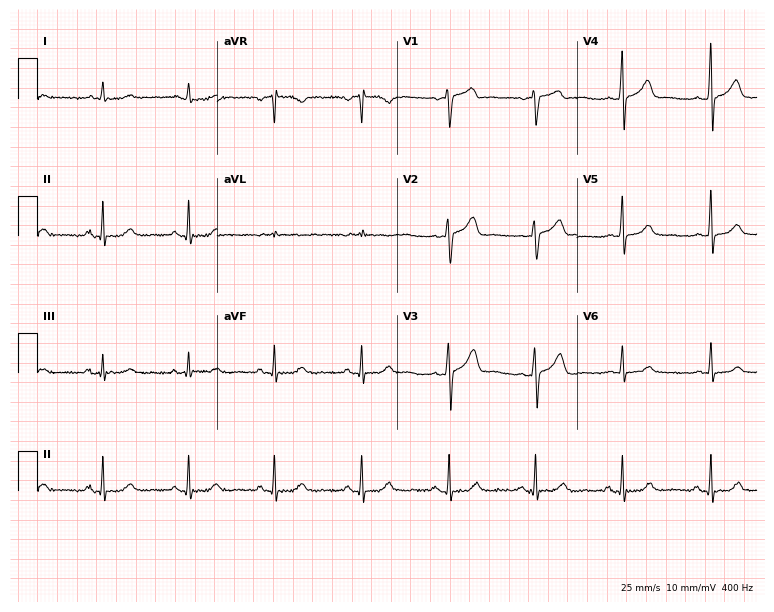
Electrocardiogram, a male, 56 years old. Overall reading on record: normal ECG.